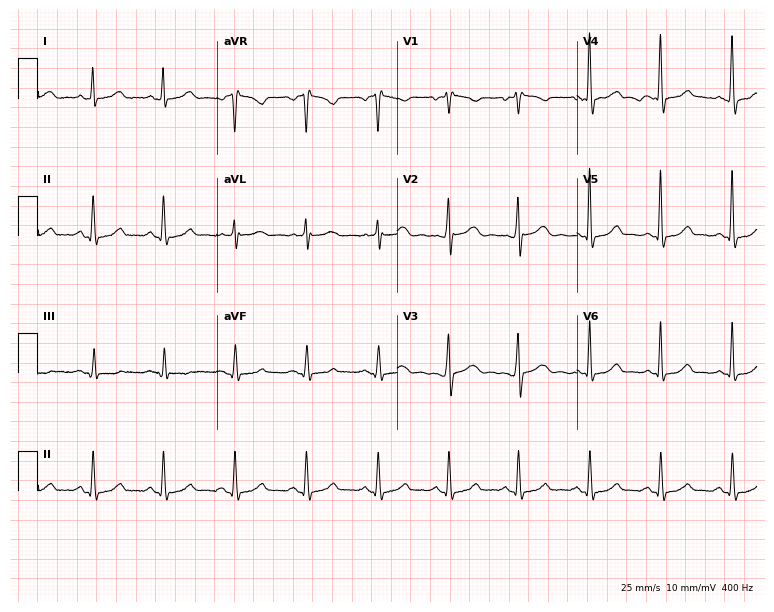
Standard 12-lead ECG recorded from a woman, 52 years old. Read as a normal ECG.